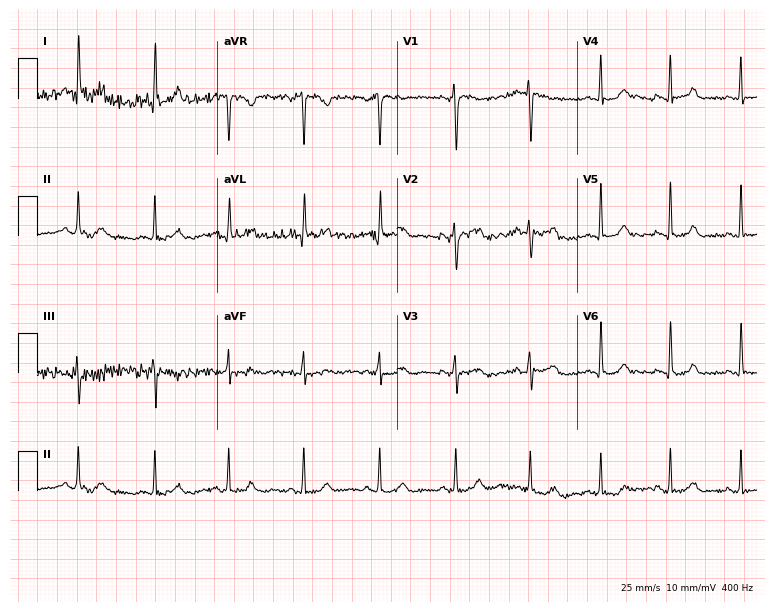
12-lead ECG from a 36-year-old female. Screened for six findings — first-degree AV block, right bundle branch block, left bundle branch block, sinus bradycardia, atrial fibrillation, sinus tachycardia — none is recorded.